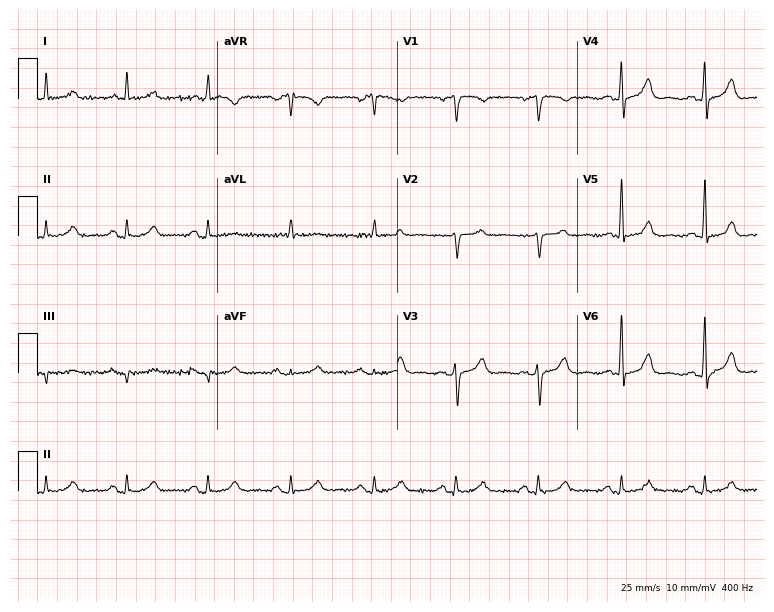
Electrocardiogram (7.3-second recording at 400 Hz), a woman, 68 years old. Overall reading on record: normal ECG.